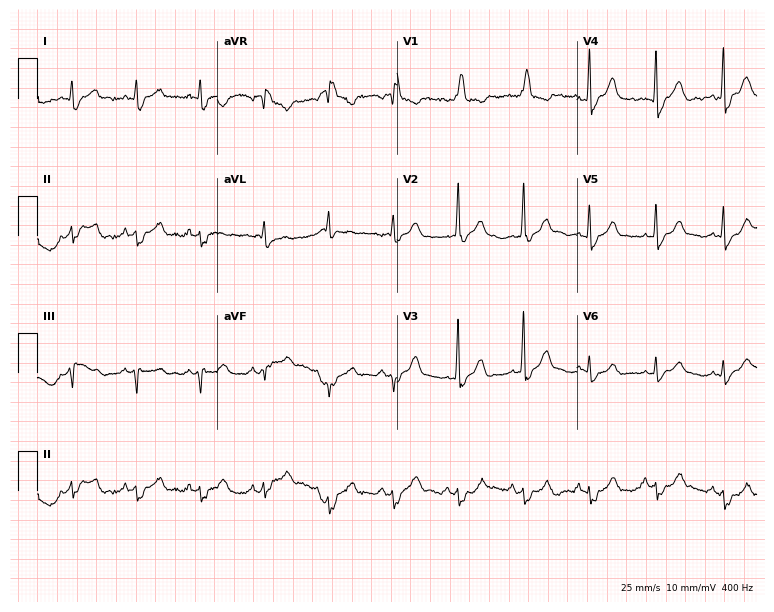
ECG — a man, 85 years old. Findings include right bundle branch block (RBBB).